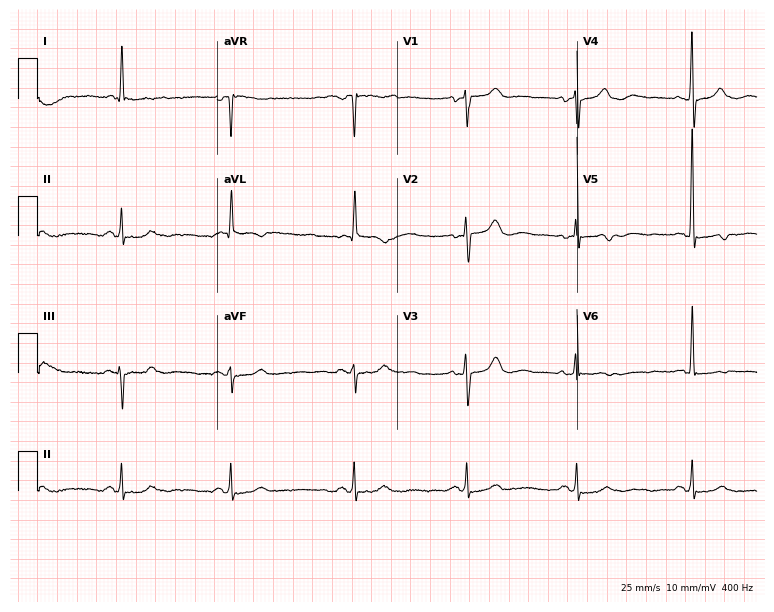
12-lead ECG from a woman, 88 years old. Screened for six findings — first-degree AV block, right bundle branch block, left bundle branch block, sinus bradycardia, atrial fibrillation, sinus tachycardia — none is recorded.